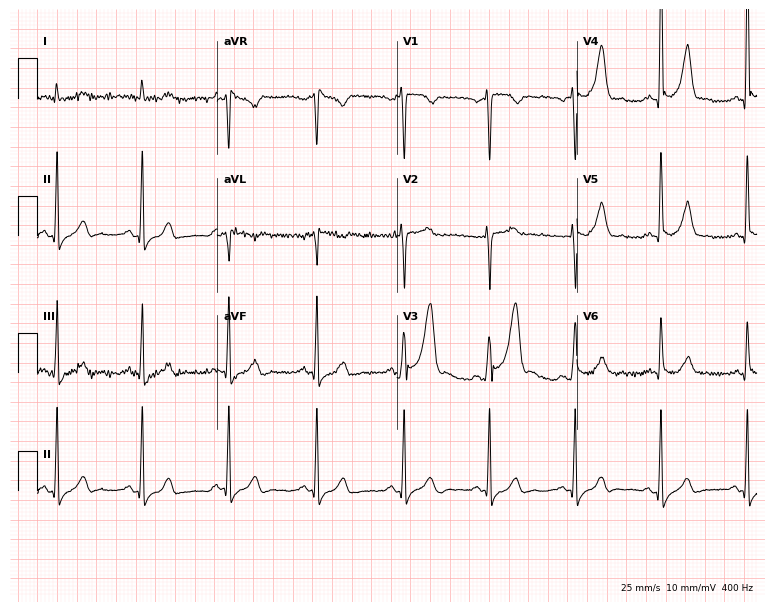
Standard 12-lead ECG recorded from a man, 70 years old. Read as a normal ECG.